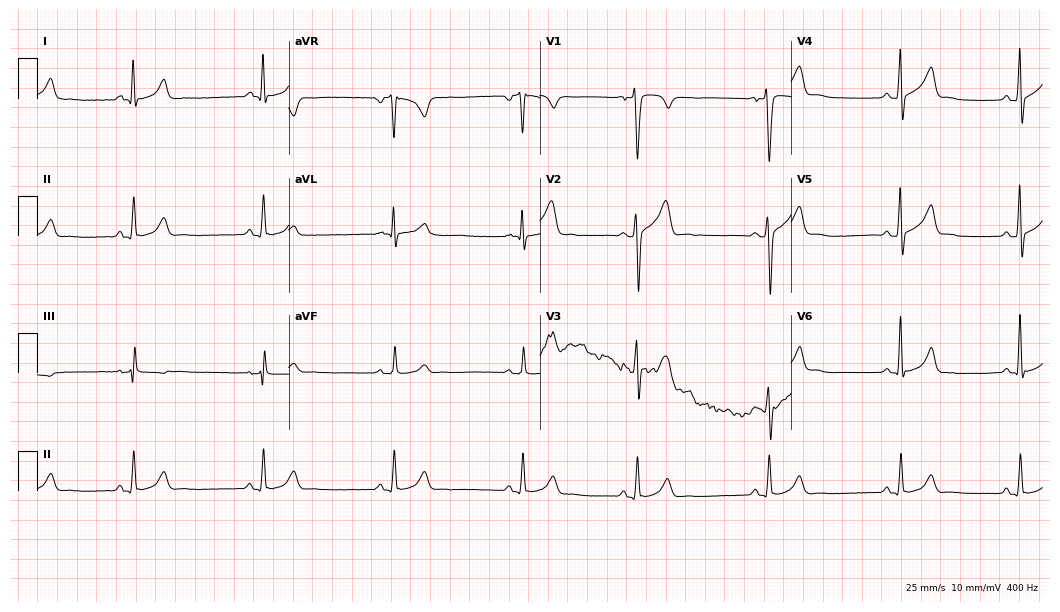
Standard 12-lead ECG recorded from a male patient, 28 years old (10.2-second recording at 400 Hz). The tracing shows sinus bradycardia (a sinus rate of 50 beats per minute or less).